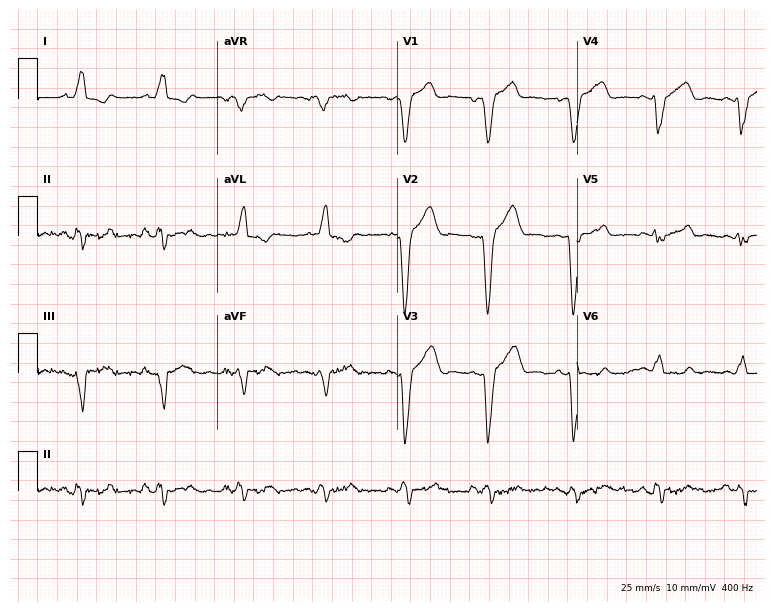
12-lead ECG from a man, 51 years old (7.3-second recording at 400 Hz). Shows left bundle branch block.